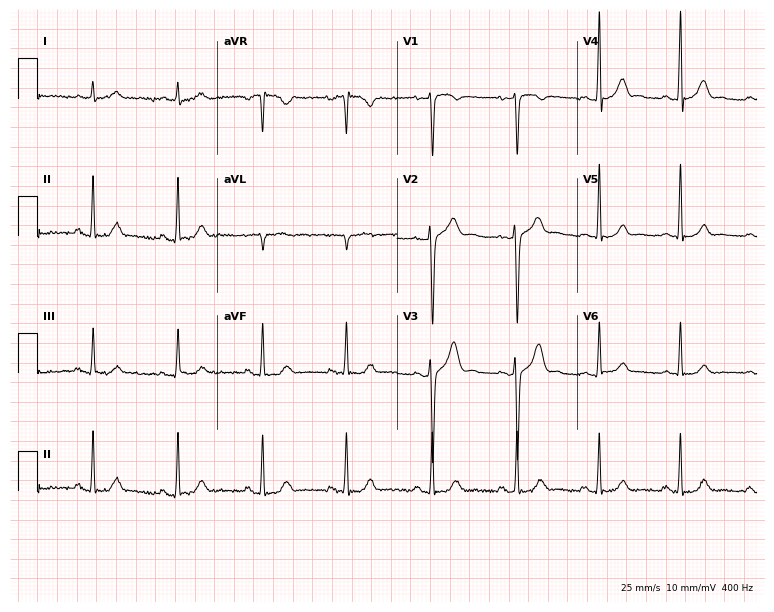
ECG — a 24-year-old male patient. Labelled as a normal ECG.